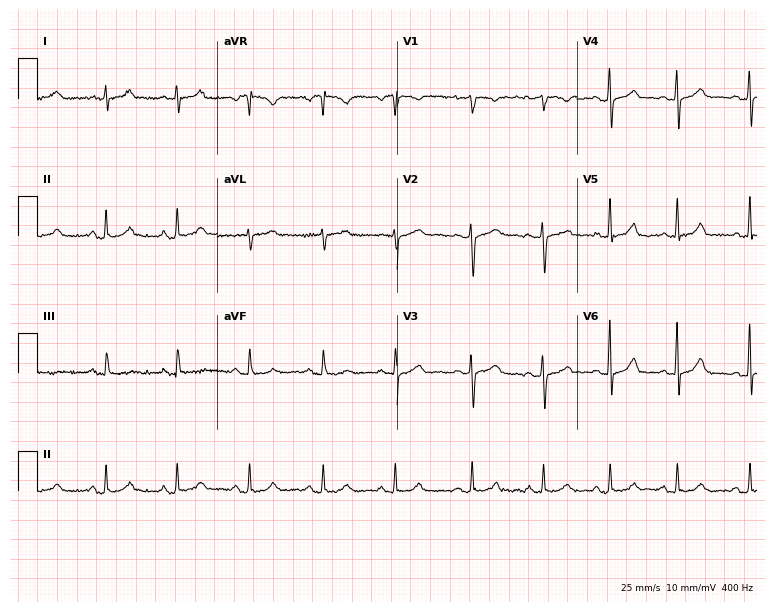
12-lead ECG from a female, 32 years old. Labelled as a normal ECG.